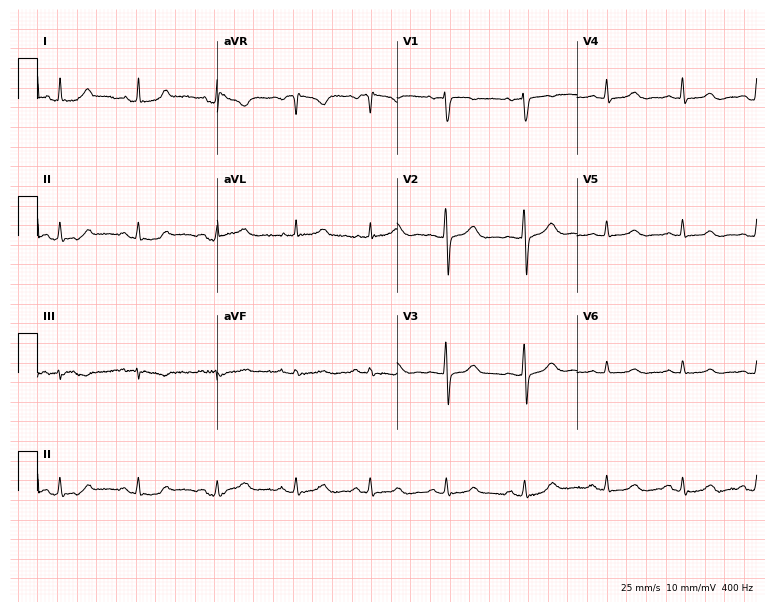
Resting 12-lead electrocardiogram. Patient: a 33-year-old female. Read as a normal ECG.